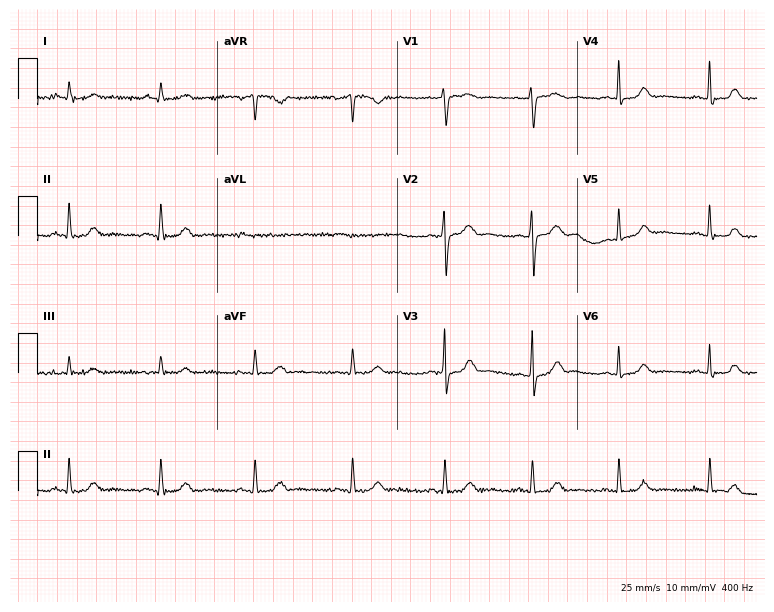
12-lead ECG (7.3-second recording at 400 Hz) from a female, 44 years old. Screened for six findings — first-degree AV block, right bundle branch block, left bundle branch block, sinus bradycardia, atrial fibrillation, sinus tachycardia — none is recorded. Other findings, if any, are not listed.